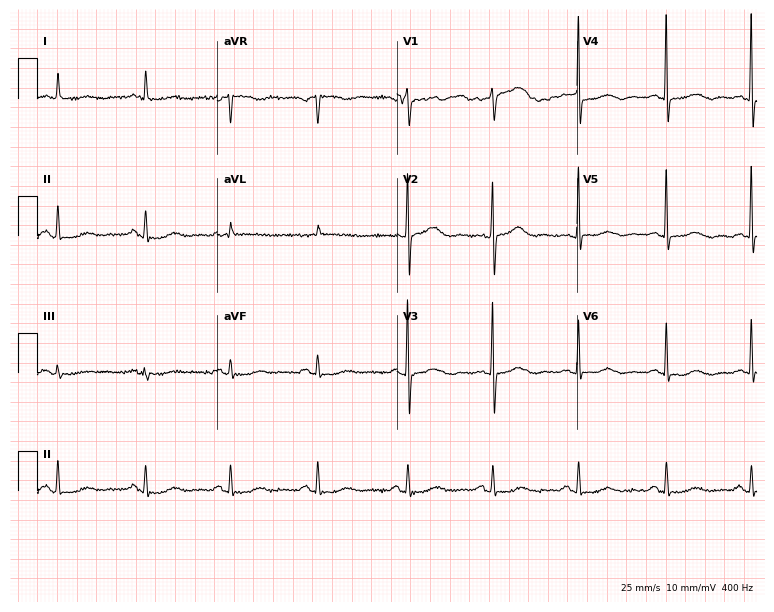
12-lead ECG from a female patient, 81 years old (7.3-second recording at 400 Hz). No first-degree AV block, right bundle branch block, left bundle branch block, sinus bradycardia, atrial fibrillation or sinus tachycardia recorded for this tracing.